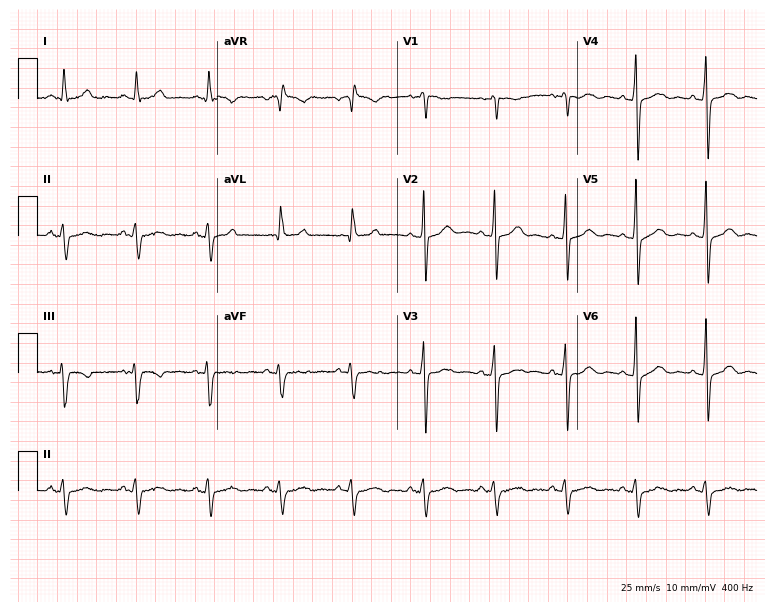
ECG (7.3-second recording at 400 Hz) — a 65-year-old male. Labelled as a normal ECG.